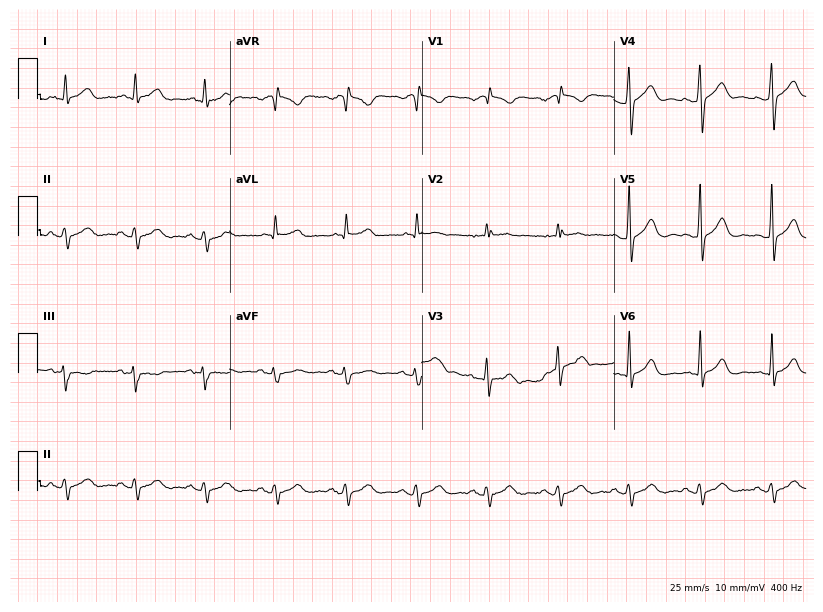
Resting 12-lead electrocardiogram (7.8-second recording at 400 Hz). Patient: a 53-year-old male. None of these six findings is recorded: first-degree AV block, right bundle branch block (RBBB), left bundle branch block (LBBB), sinus bradycardia, atrial fibrillation (AF), sinus tachycardia. Only these six findings were labelled.